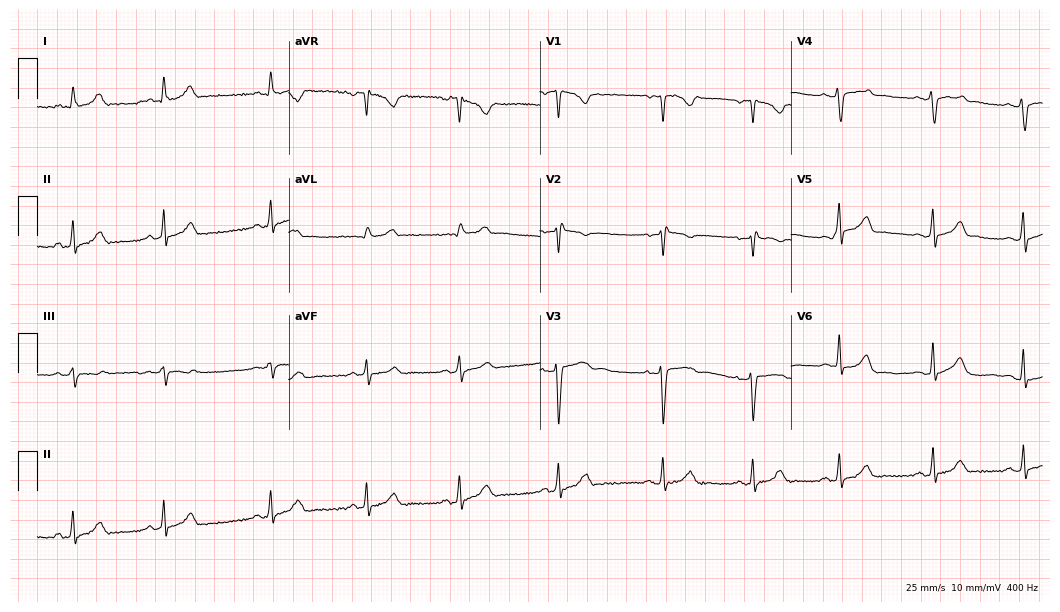
ECG — a 33-year-old female. Labelled as a normal ECG.